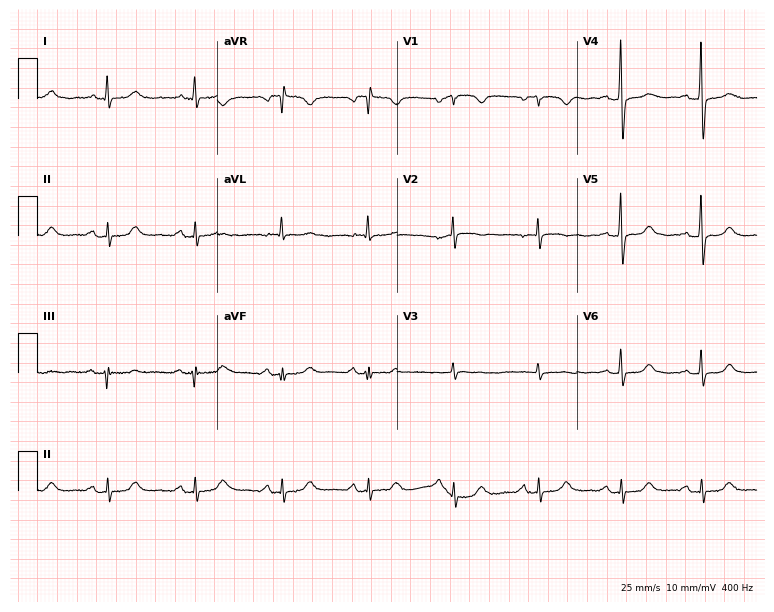
12-lead ECG from a 78-year-old woman (7.3-second recording at 400 Hz). Recorded interpretation: within normal limits.